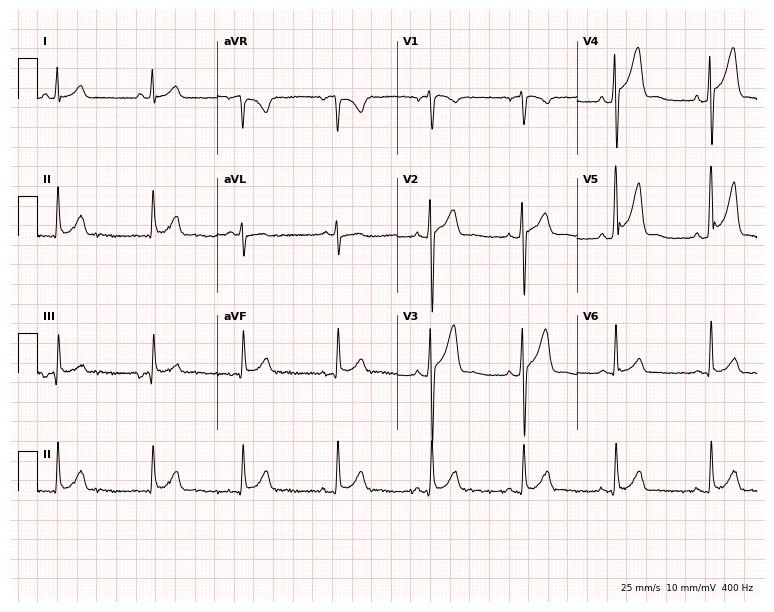
12-lead ECG from a man, 22 years old. No first-degree AV block, right bundle branch block (RBBB), left bundle branch block (LBBB), sinus bradycardia, atrial fibrillation (AF) or sinus tachycardia recorded for this tracing.